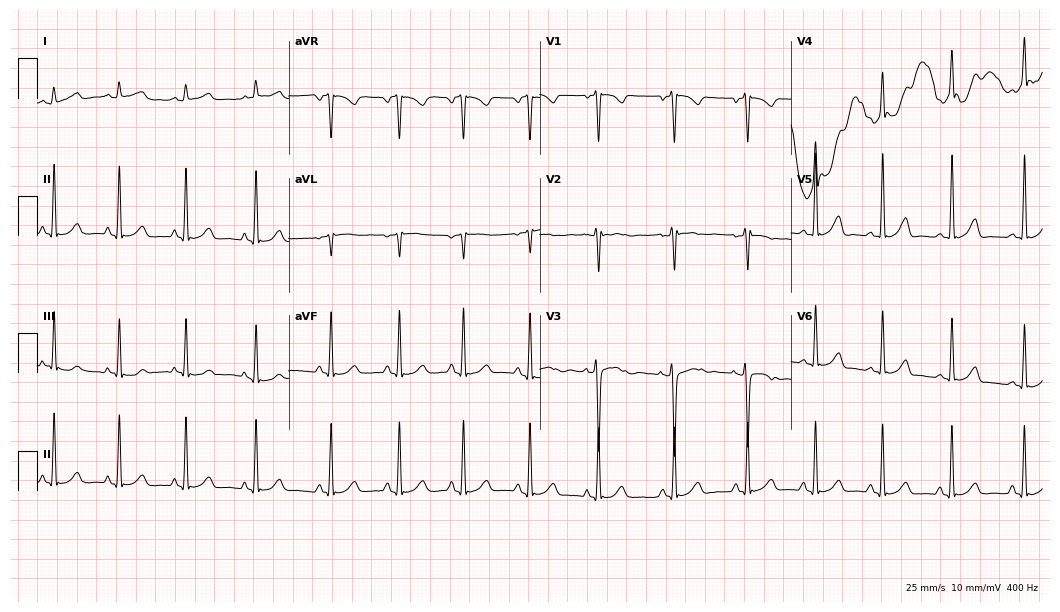
Standard 12-lead ECG recorded from a woman, 18 years old. None of these six findings is recorded: first-degree AV block, right bundle branch block (RBBB), left bundle branch block (LBBB), sinus bradycardia, atrial fibrillation (AF), sinus tachycardia. Findings outside these six are not listed.